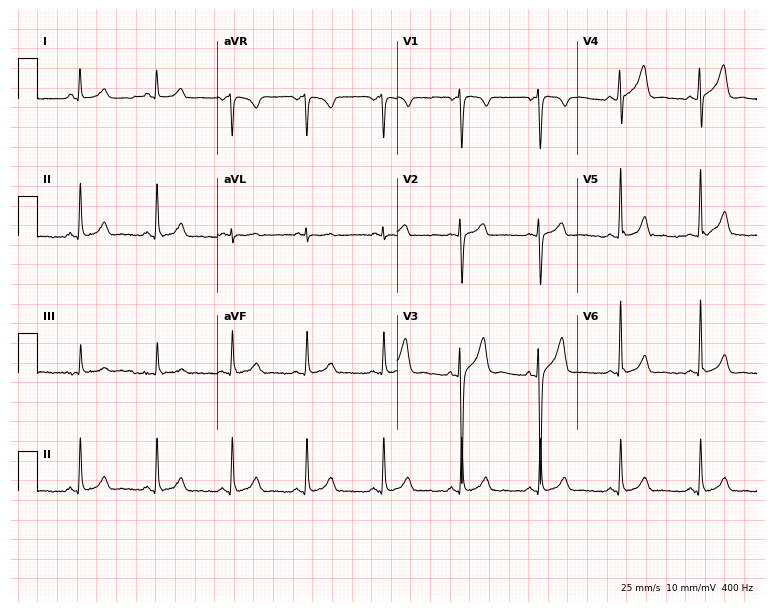
Resting 12-lead electrocardiogram (7.3-second recording at 400 Hz). Patient: a 27-year-old man. Read as a normal ECG.